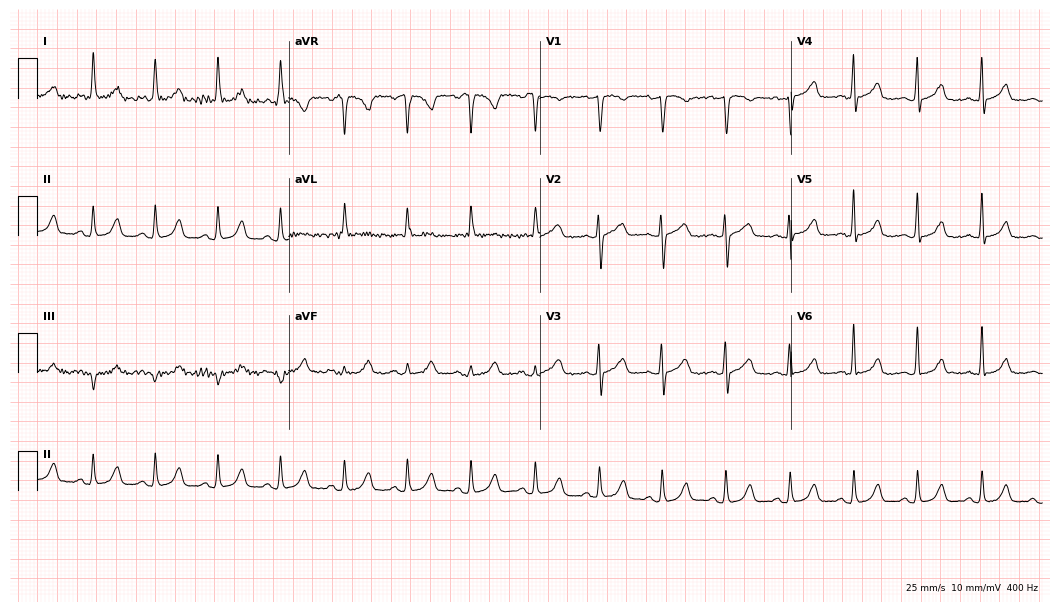
Electrocardiogram (10.2-second recording at 400 Hz), an 80-year-old female. Of the six screened findings (first-degree AV block, right bundle branch block, left bundle branch block, sinus bradycardia, atrial fibrillation, sinus tachycardia), none is recorded.